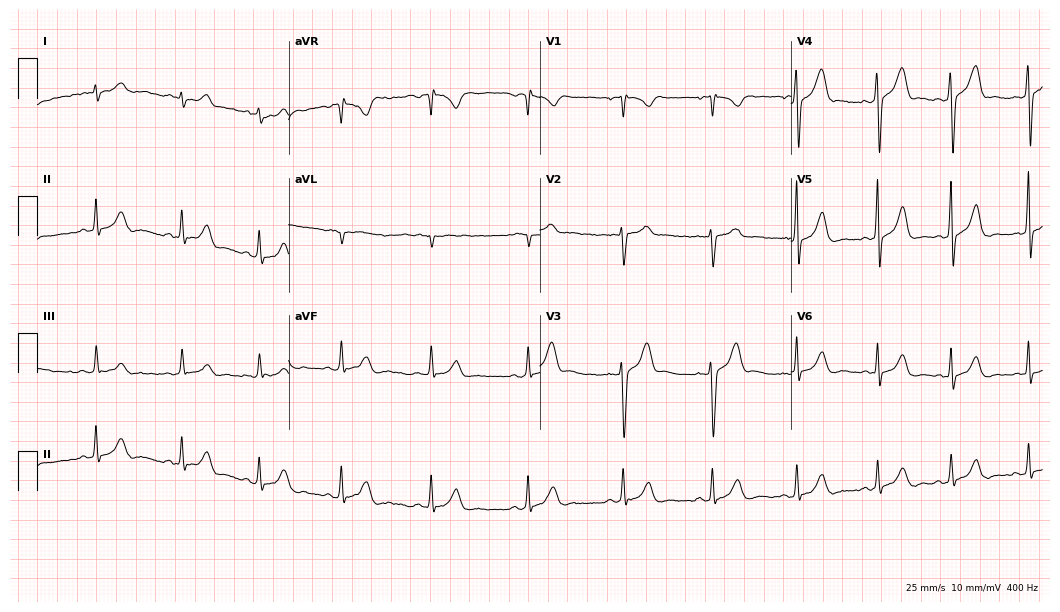
Resting 12-lead electrocardiogram. Patient: a 25-year-old female. None of these six findings is recorded: first-degree AV block, right bundle branch block, left bundle branch block, sinus bradycardia, atrial fibrillation, sinus tachycardia.